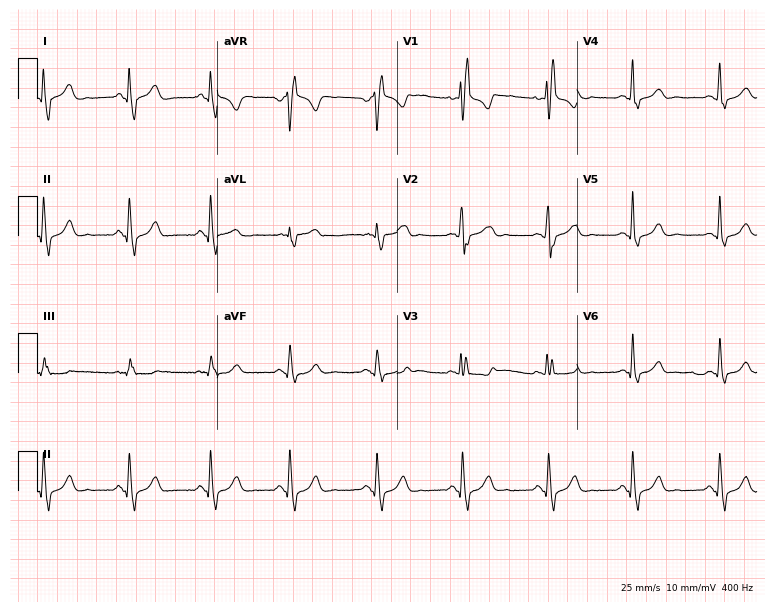
Electrocardiogram, a female, 31 years old. Of the six screened findings (first-degree AV block, right bundle branch block, left bundle branch block, sinus bradycardia, atrial fibrillation, sinus tachycardia), none is recorded.